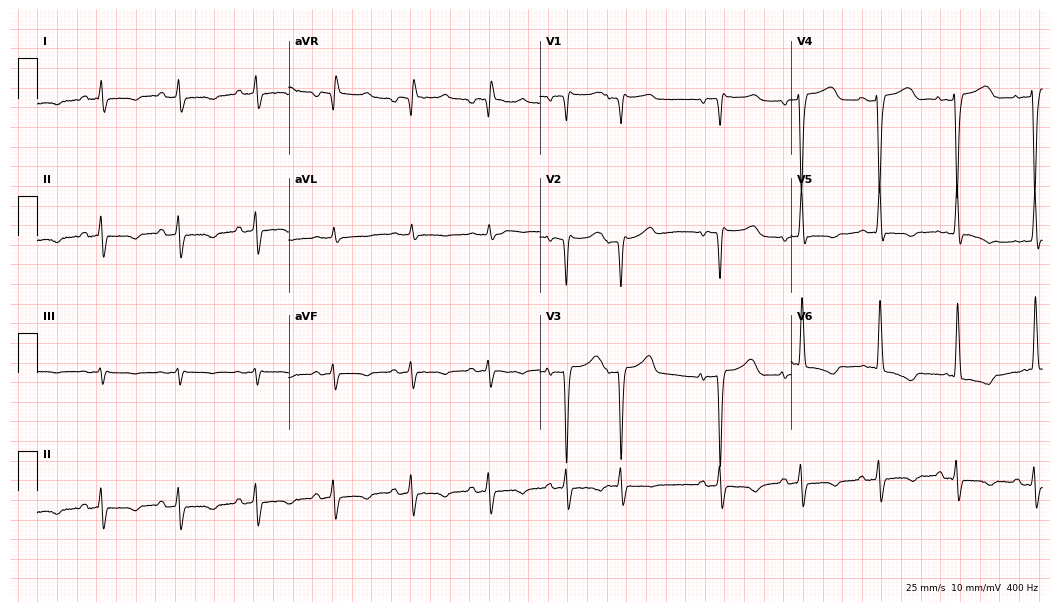
12-lead ECG from a male, 81 years old. No first-degree AV block, right bundle branch block (RBBB), left bundle branch block (LBBB), sinus bradycardia, atrial fibrillation (AF) or sinus tachycardia recorded for this tracing.